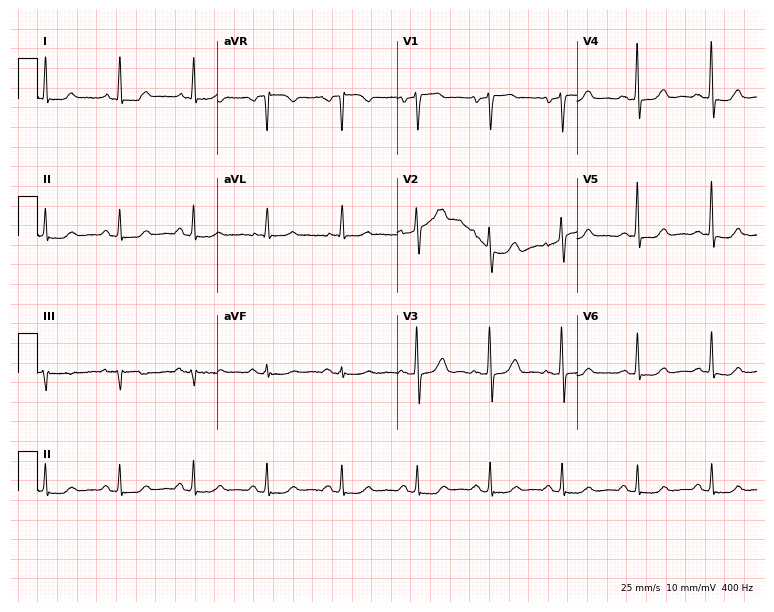
Electrocardiogram (7.3-second recording at 400 Hz), a 59-year-old woman. Overall reading on record: normal ECG.